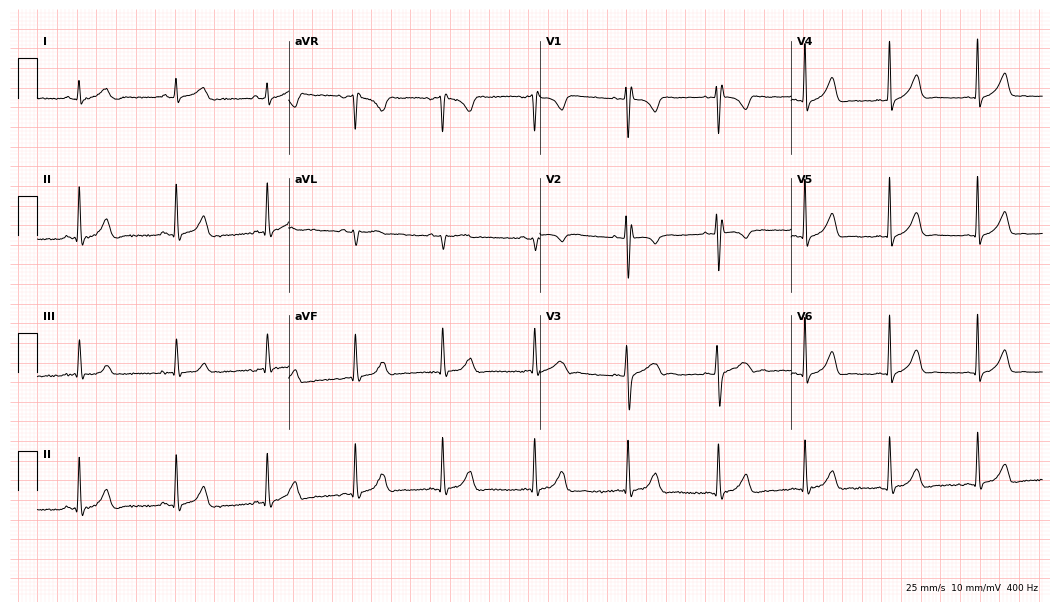
ECG — a 19-year-old female. Screened for six findings — first-degree AV block, right bundle branch block, left bundle branch block, sinus bradycardia, atrial fibrillation, sinus tachycardia — none is recorded.